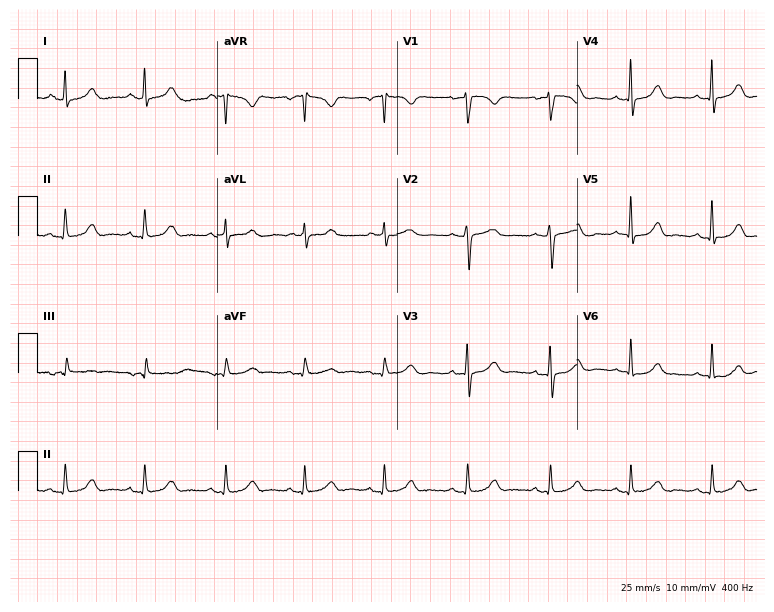
12-lead ECG from a 50-year-old female. Recorded interpretation: within normal limits.